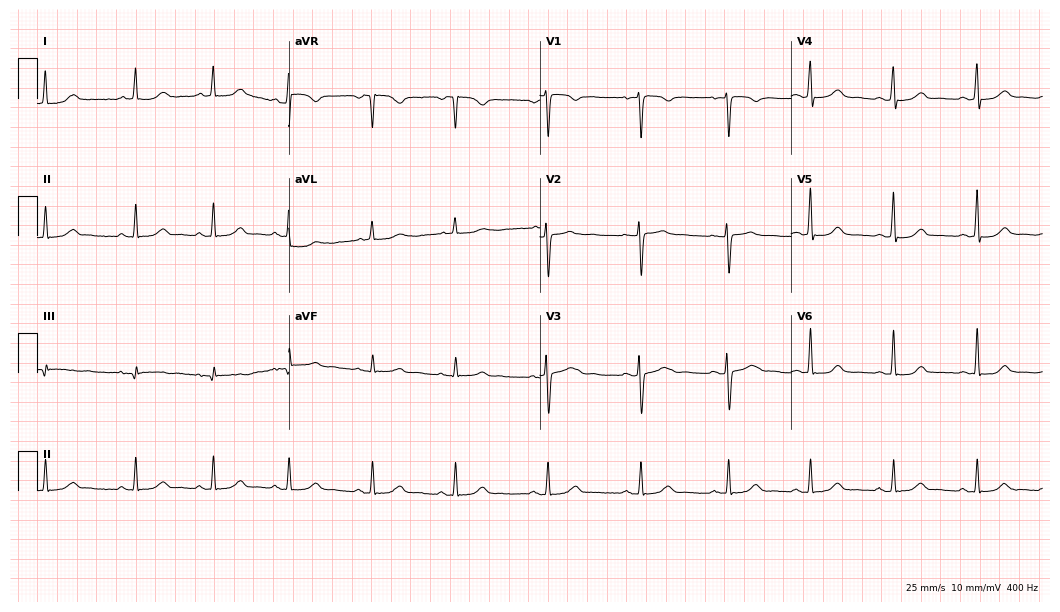
ECG — a 39-year-old woman. Labelled as a normal ECG.